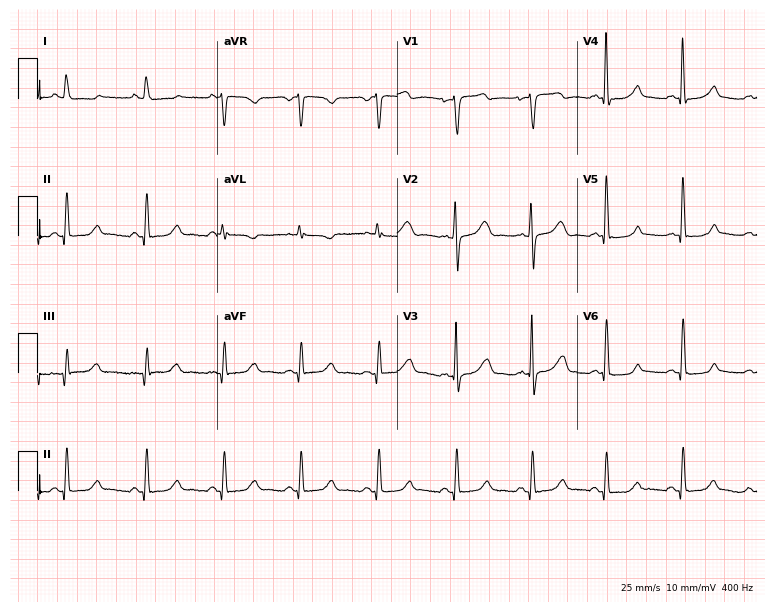
Resting 12-lead electrocardiogram (7.3-second recording at 400 Hz). Patient: a 43-year-old female. Read as a normal ECG.